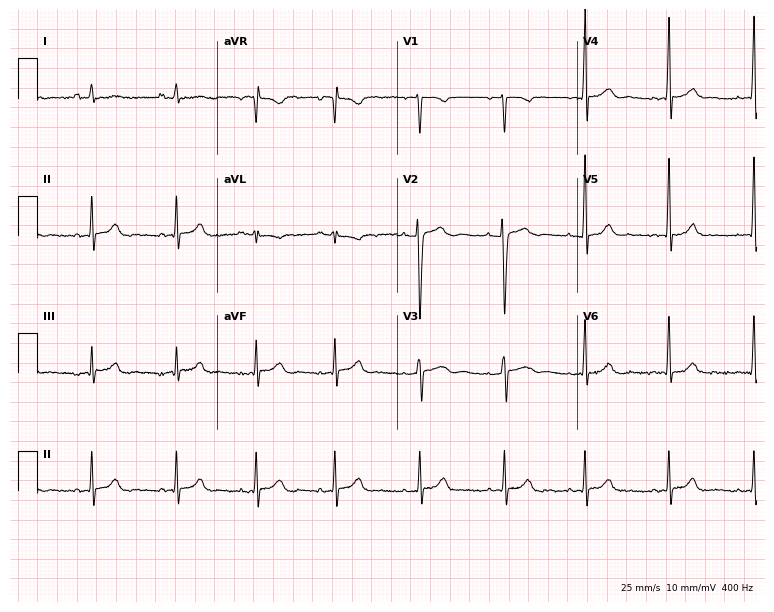
Standard 12-lead ECG recorded from a male, 29 years old (7.3-second recording at 400 Hz). None of these six findings is recorded: first-degree AV block, right bundle branch block, left bundle branch block, sinus bradycardia, atrial fibrillation, sinus tachycardia.